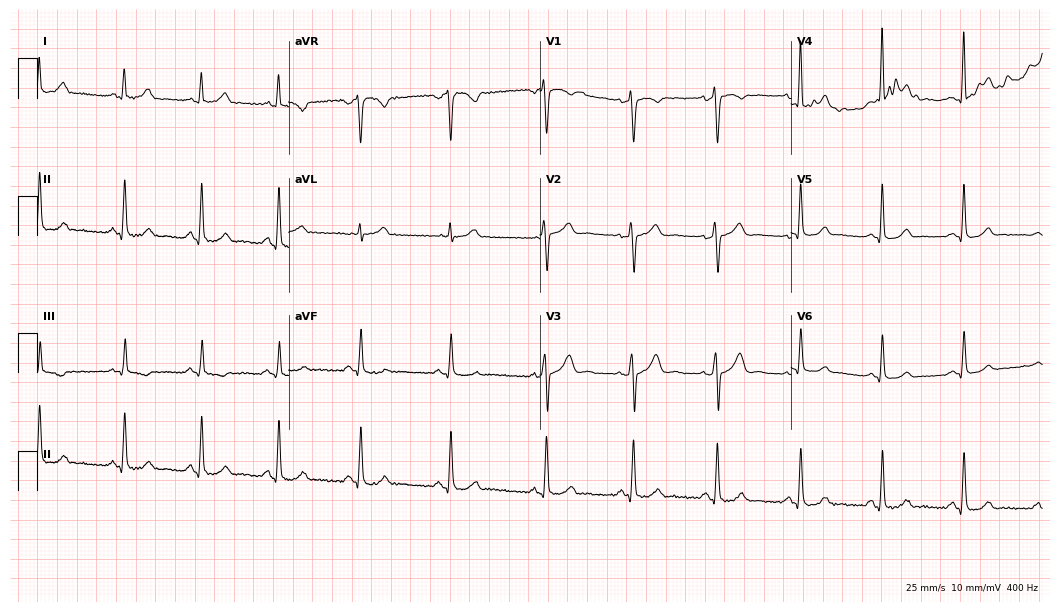
Electrocardiogram (10.2-second recording at 400 Hz), a 43-year-old female patient. Overall reading on record: normal ECG.